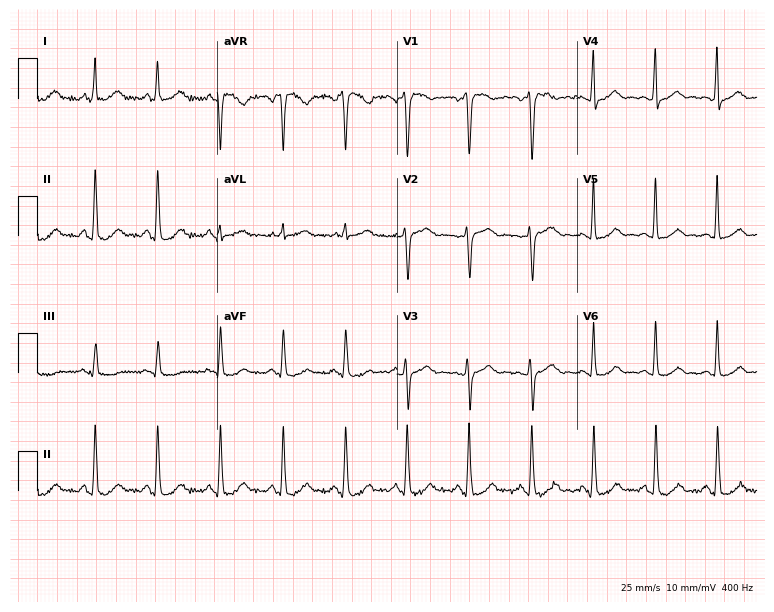
Resting 12-lead electrocardiogram. Patient: a 54-year-old female. None of these six findings is recorded: first-degree AV block, right bundle branch block, left bundle branch block, sinus bradycardia, atrial fibrillation, sinus tachycardia.